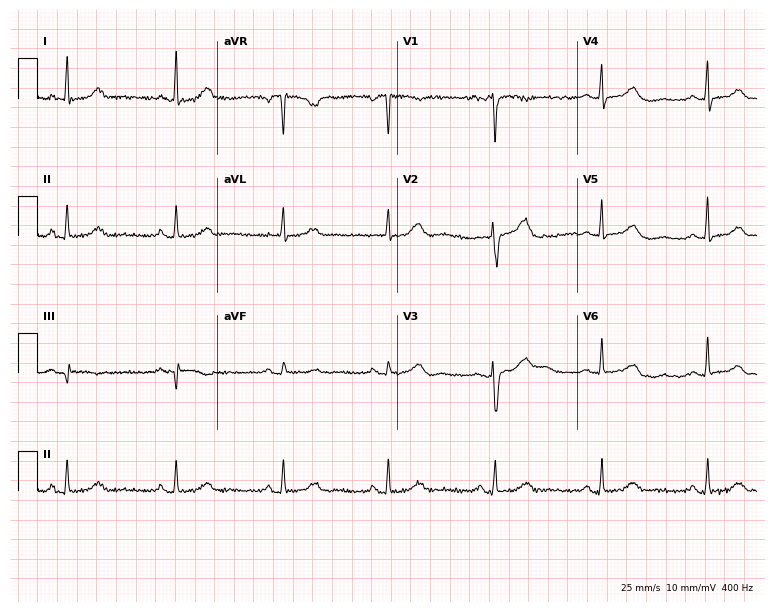
ECG (7.3-second recording at 400 Hz) — a 76-year-old female. Screened for six findings — first-degree AV block, right bundle branch block, left bundle branch block, sinus bradycardia, atrial fibrillation, sinus tachycardia — none is recorded. Other findings, if any, are not listed.